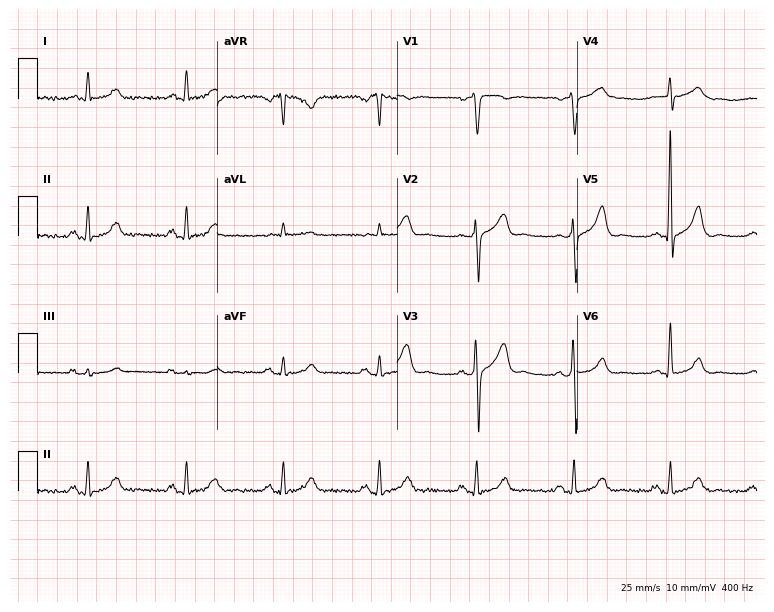
Standard 12-lead ECG recorded from a man, 75 years old. None of these six findings is recorded: first-degree AV block, right bundle branch block, left bundle branch block, sinus bradycardia, atrial fibrillation, sinus tachycardia.